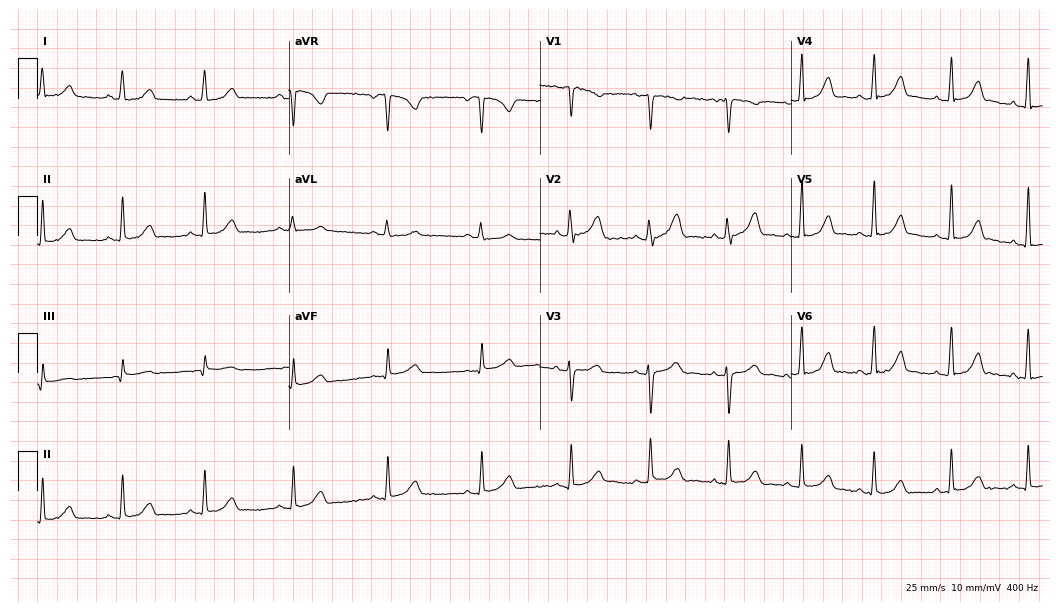
ECG — a 30-year-old woman. Labelled as a normal ECG.